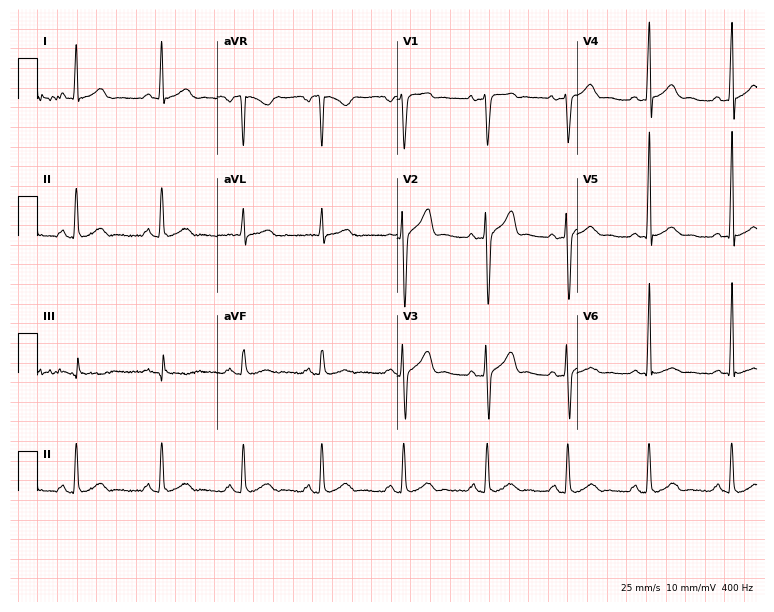
Standard 12-lead ECG recorded from a 34-year-old man (7.3-second recording at 400 Hz). None of these six findings is recorded: first-degree AV block, right bundle branch block, left bundle branch block, sinus bradycardia, atrial fibrillation, sinus tachycardia. Other findings, if any, are not listed.